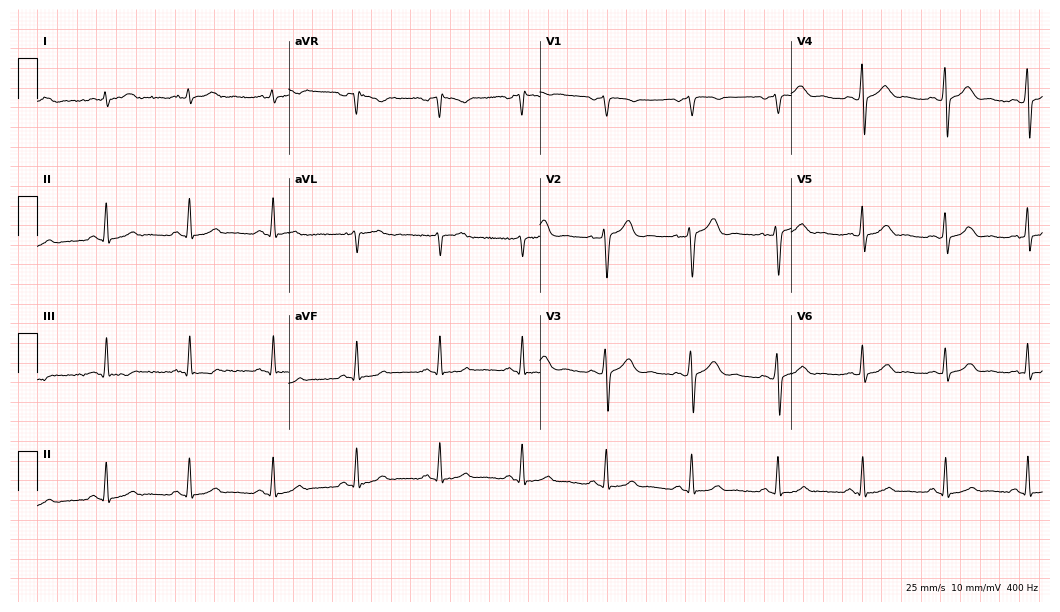
Resting 12-lead electrocardiogram (10.2-second recording at 400 Hz). Patient: a male, 45 years old. None of these six findings is recorded: first-degree AV block, right bundle branch block (RBBB), left bundle branch block (LBBB), sinus bradycardia, atrial fibrillation (AF), sinus tachycardia. Only these six findings were labelled.